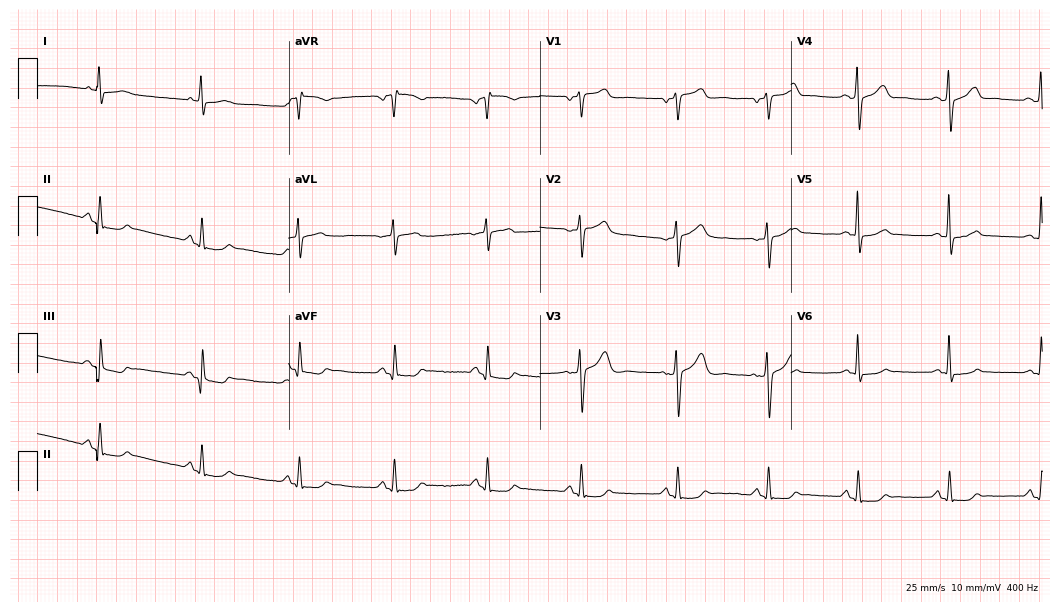
12-lead ECG from a 54-year-old female patient. Labelled as a normal ECG.